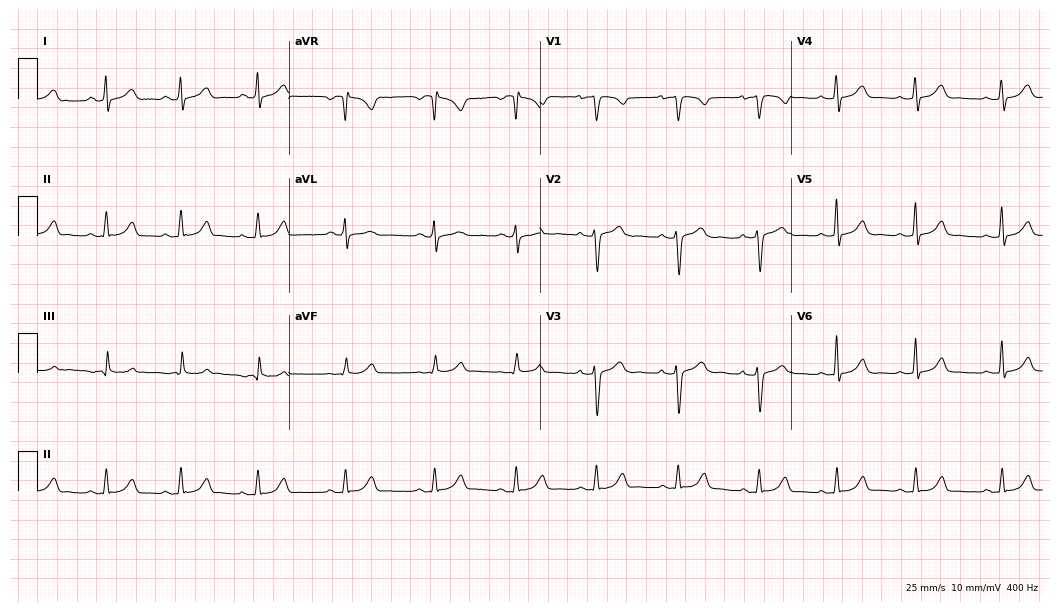
12-lead ECG from a 28-year-old female. Recorded interpretation: within normal limits.